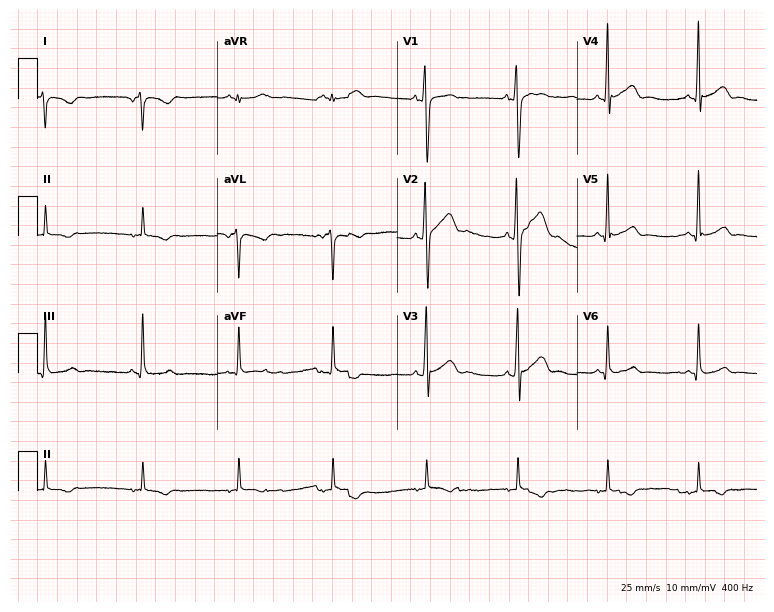
Standard 12-lead ECG recorded from a male patient, 22 years old. None of these six findings is recorded: first-degree AV block, right bundle branch block (RBBB), left bundle branch block (LBBB), sinus bradycardia, atrial fibrillation (AF), sinus tachycardia. Findings outside these six are not listed.